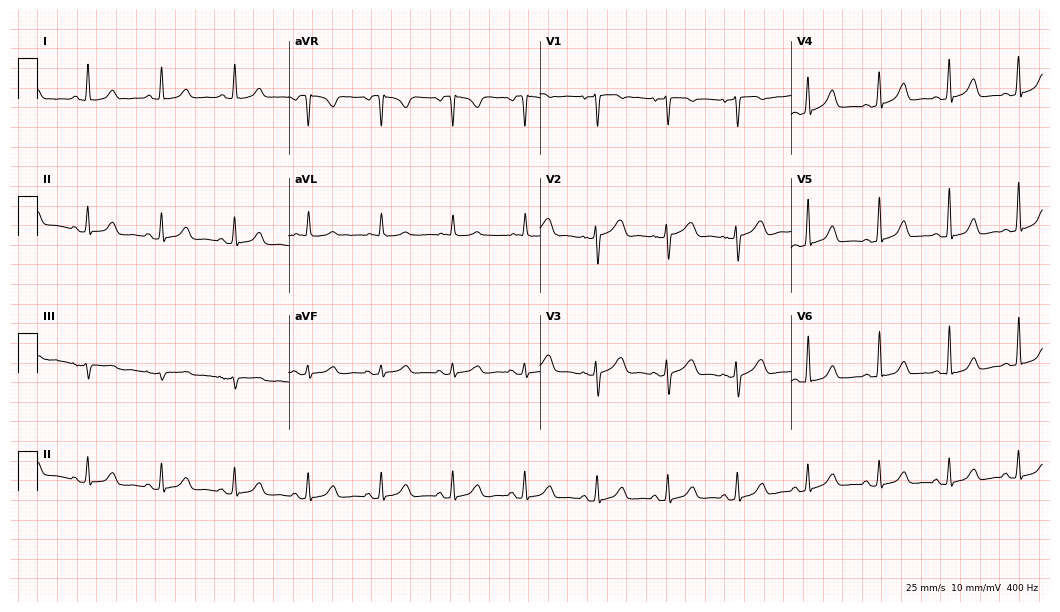
ECG (10.2-second recording at 400 Hz) — a woman, 47 years old. Labelled as a normal ECG.